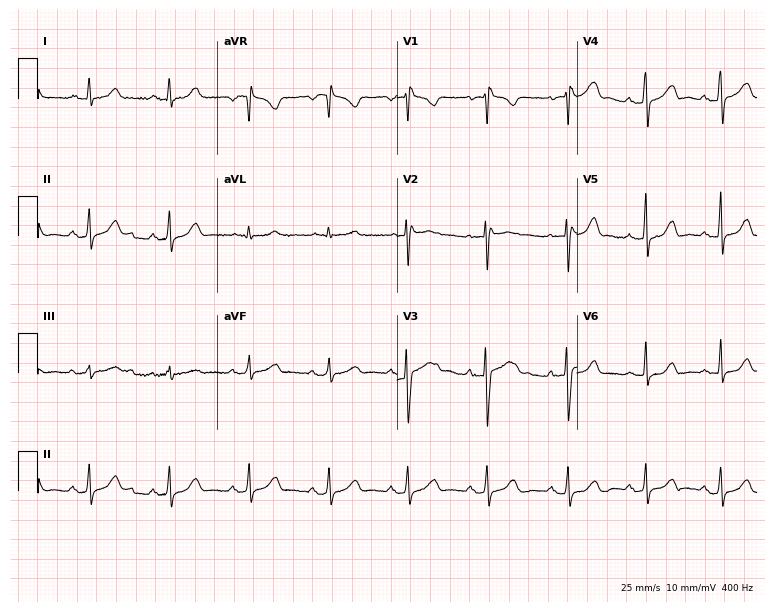
ECG (7.3-second recording at 400 Hz) — a 57-year-old woman. Screened for six findings — first-degree AV block, right bundle branch block, left bundle branch block, sinus bradycardia, atrial fibrillation, sinus tachycardia — none is recorded. Other findings, if any, are not listed.